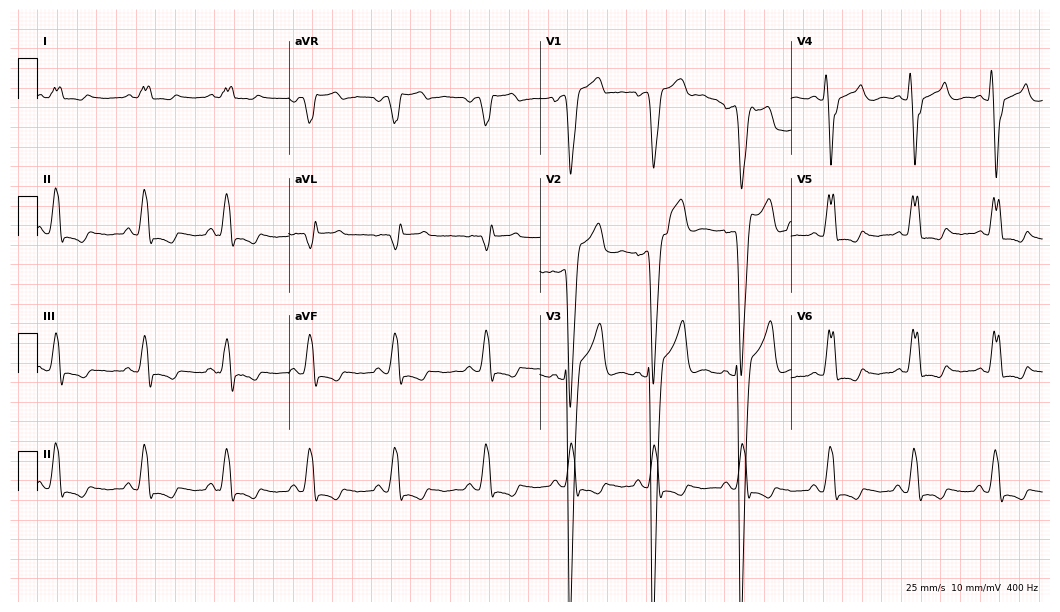
12-lead ECG from a 46-year-old male (10.2-second recording at 400 Hz). Shows left bundle branch block.